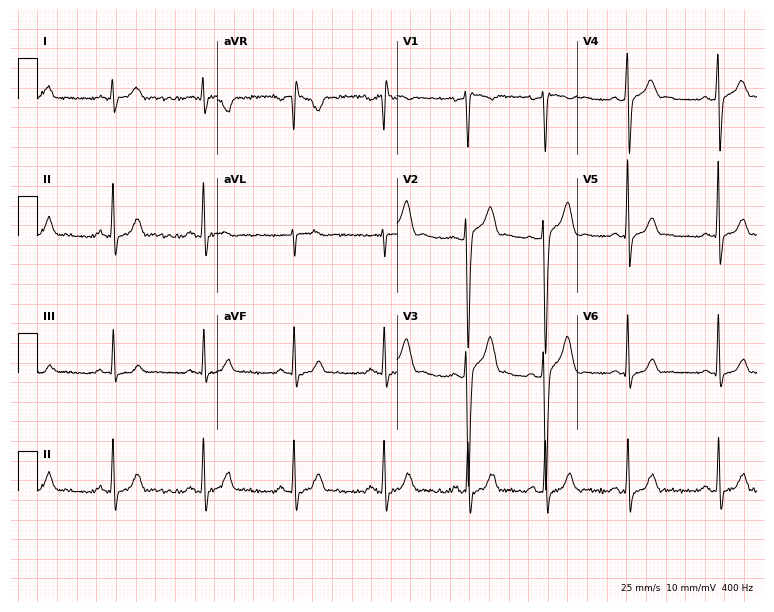
Standard 12-lead ECG recorded from a male, 22 years old. None of these six findings is recorded: first-degree AV block, right bundle branch block (RBBB), left bundle branch block (LBBB), sinus bradycardia, atrial fibrillation (AF), sinus tachycardia. Only these six findings were labelled.